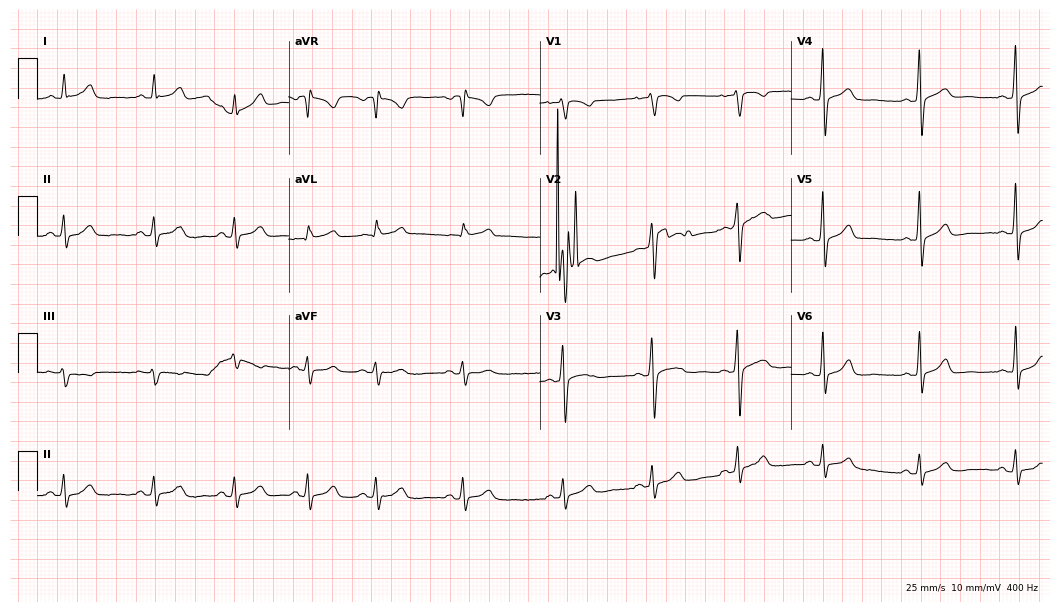
Standard 12-lead ECG recorded from a female patient, 25 years old. None of these six findings is recorded: first-degree AV block, right bundle branch block (RBBB), left bundle branch block (LBBB), sinus bradycardia, atrial fibrillation (AF), sinus tachycardia.